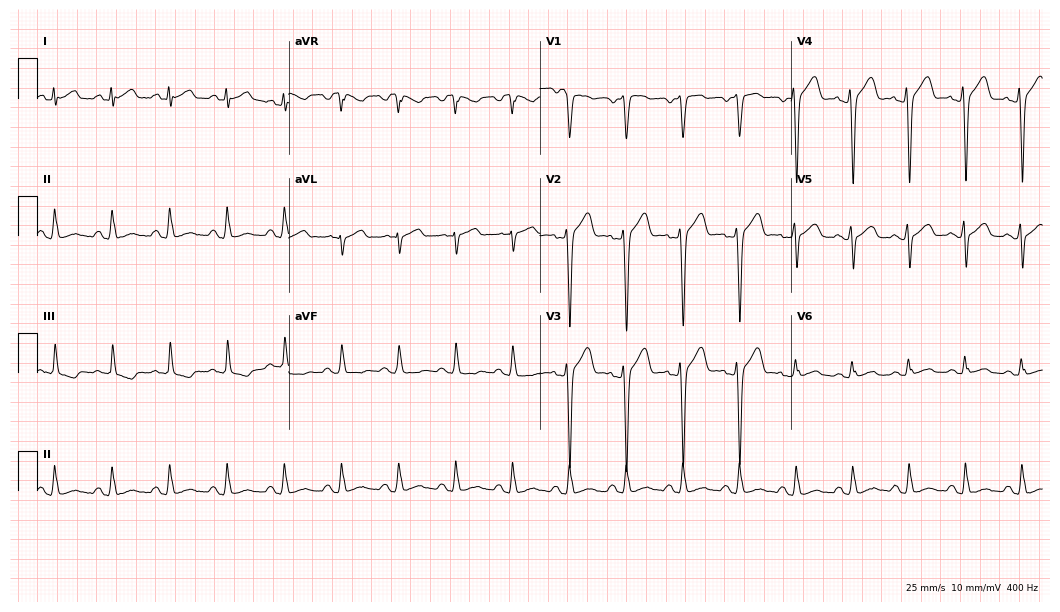
Standard 12-lead ECG recorded from a 33-year-old male. The tracing shows sinus tachycardia (a sinus rate of 100 beats per minute or more).